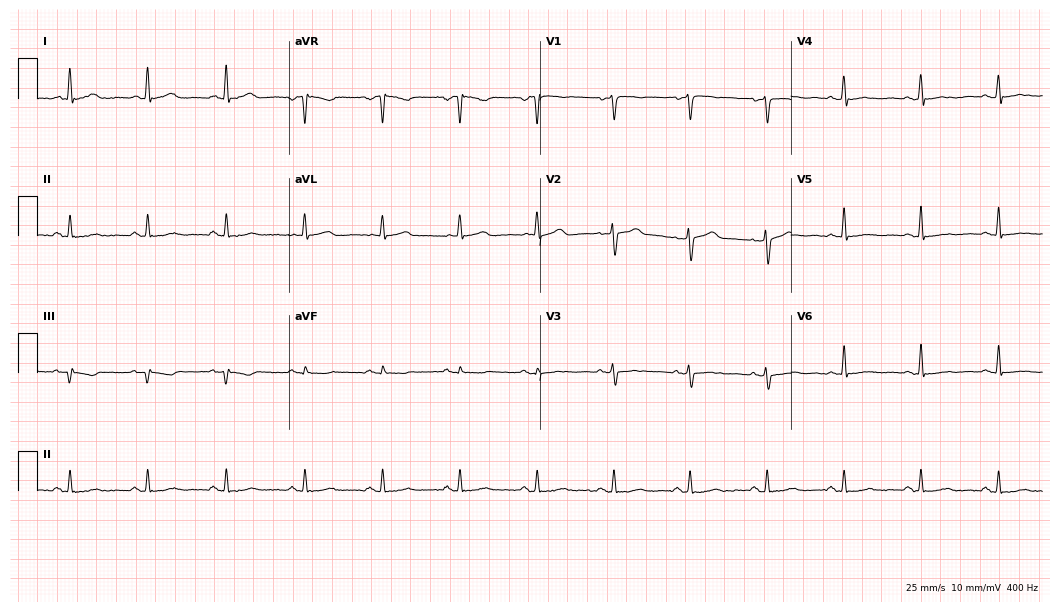
12-lead ECG (10.2-second recording at 400 Hz) from a female, 51 years old. Screened for six findings — first-degree AV block, right bundle branch block, left bundle branch block, sinus bradycardia, atrial fibrillation, sinus tachycardia — none is recorded.